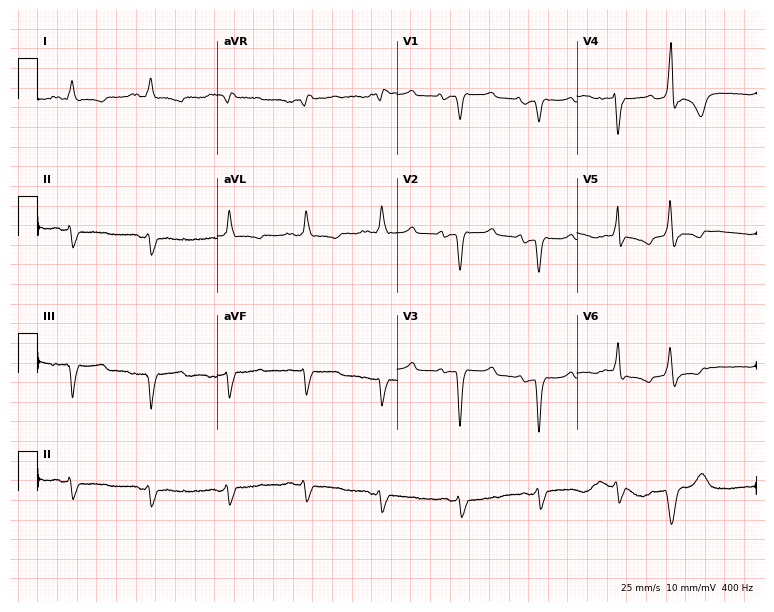
12-lead ECG from a 71-year-old female patient. Shows left bundle branch block.